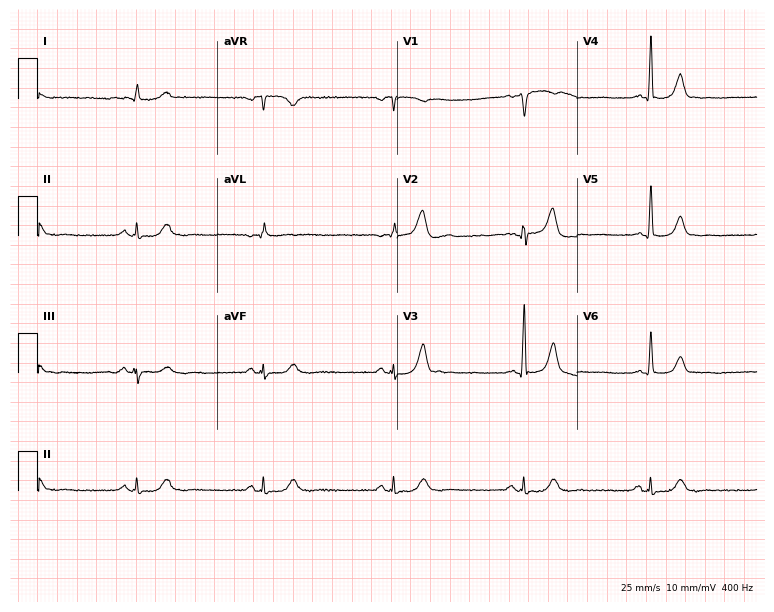
Resting 12-lead electrocardiogram (7.3-second recording at 400 Hz). Patient: a male, 64 years old. The tracing shows sinus bradycardia (a sinus rate of 50 beats per minute or less).